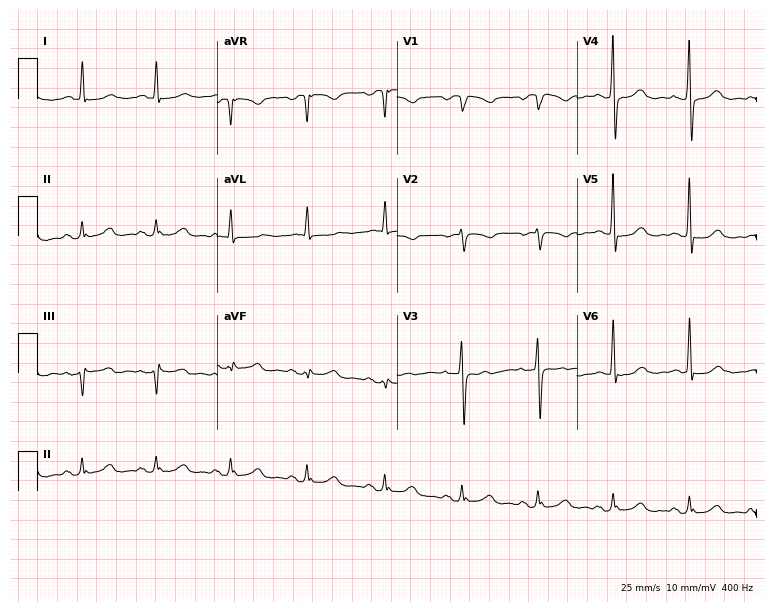
Standard 12-lead ECG recorded from a female patient, 63 years old. None of these six findings is recorded: first-degree AV block, right bundle branch block (RBBB), left bundle branch block (LBBB), sinus bradycardia, atrial fibrillation (AF), sinus tachycardia.